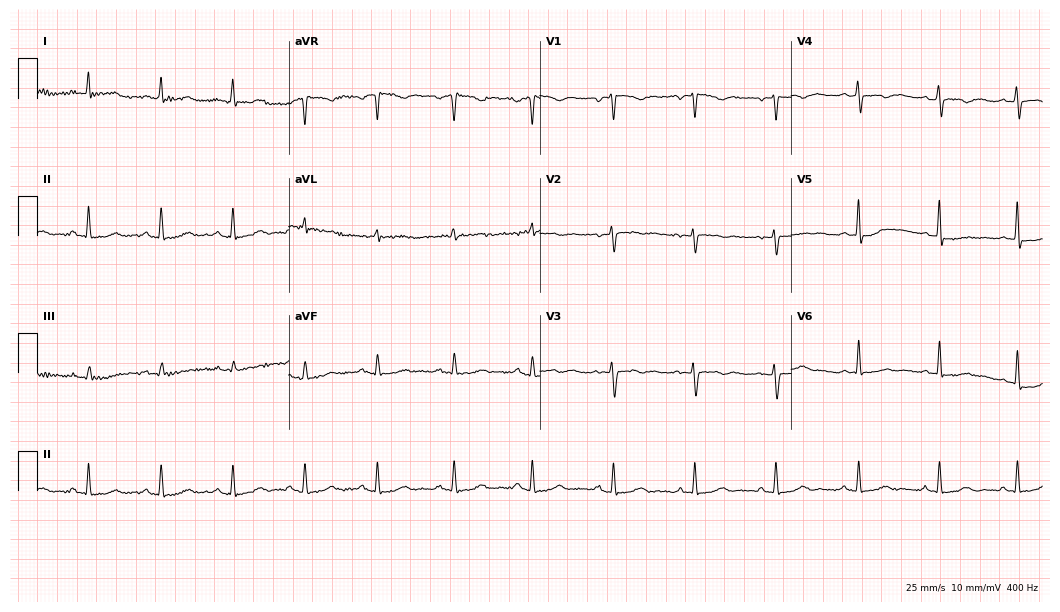
Electrocardiogram (10.2-second recording at 400 Hz), a 51-year-old woman. Overall reading on record: normal ECG.